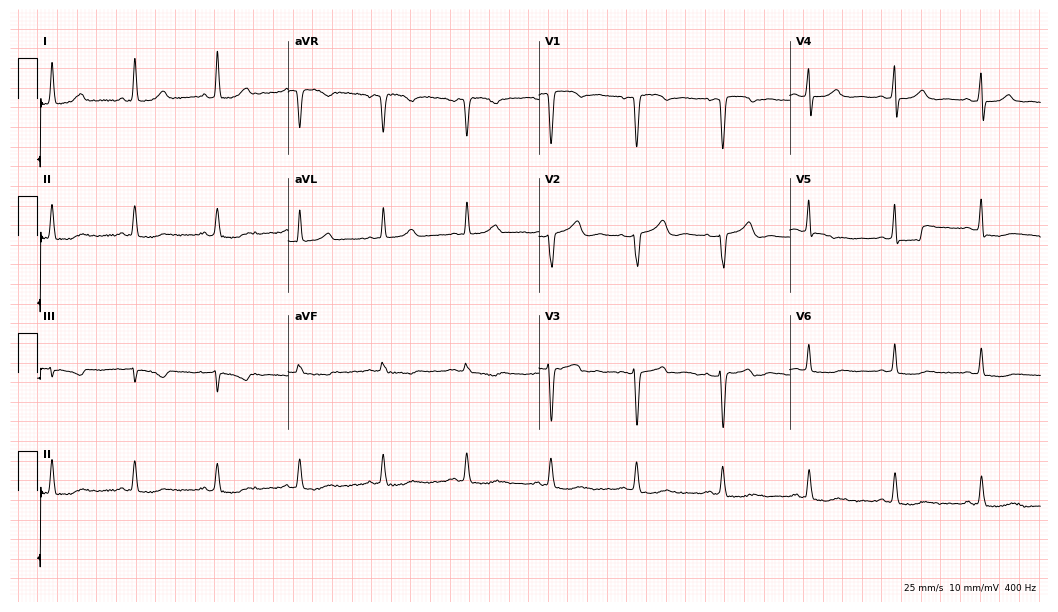
12-lead ECG from a woman, 58 years old. Screened for six findings — first-degree AV block, right bundle branch block, left bundle branch block, sinus bradycardia, atrial fibrillation, sinus tachycardia — none is recorded.